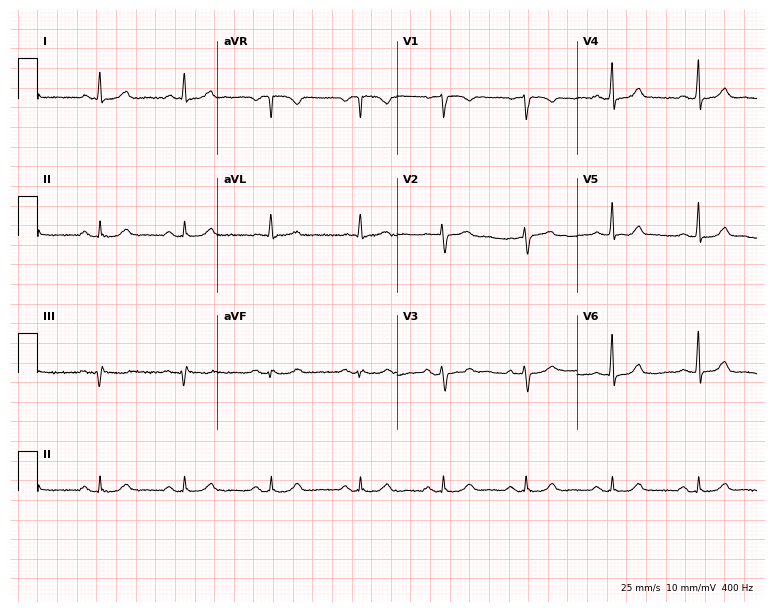
Standard 12-lead ECG recorded from a female, 58 years old. Read as a normal ECG.